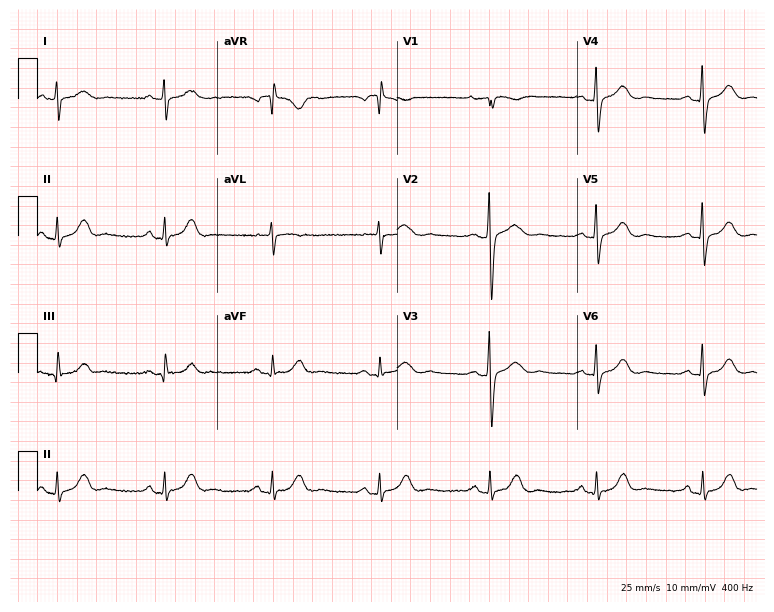
Resting 12-lead electrocardiogram (7.3-second recording at 400 Hz). Patient: a woman, 66 years old. None of these six findings is recorded: first-degree AV block, right bundle branch block, left bundle branch block, sinus bradycardia, atrial fibrillation, sinus tachycardia. Only these six findings were labelled.